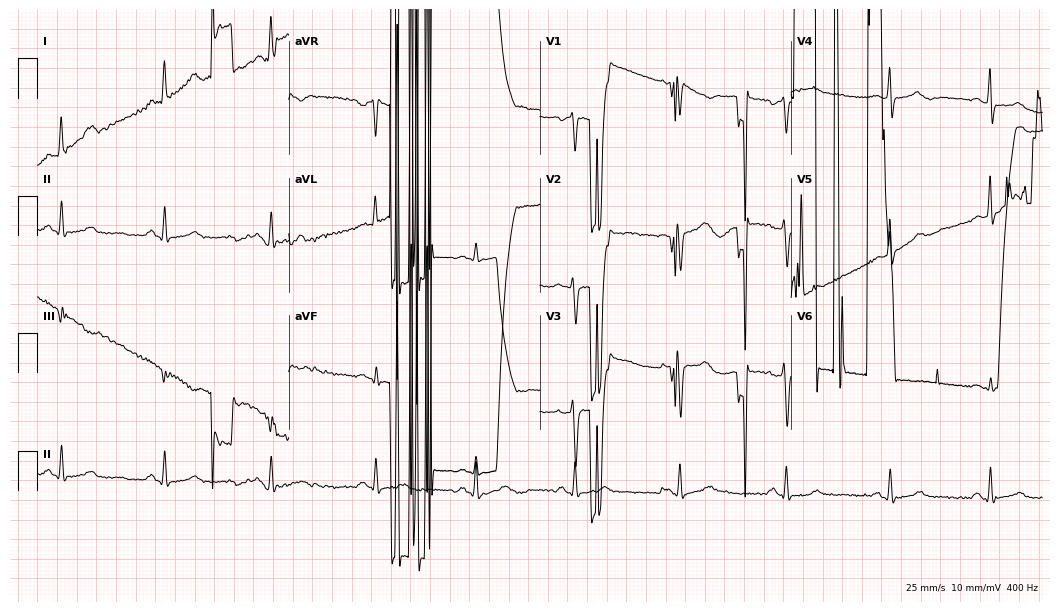
Electrocardiogram (10.2-second recording at 400 Hz), a 50-year-old female patient. Of the six screened findings (first-degree AV block, right bundle branch block (RBBB), left bundle branch block (LBBB), sinus bradycardia, atrial fibrillation (AF), sinus tachycardia), none is recorded.